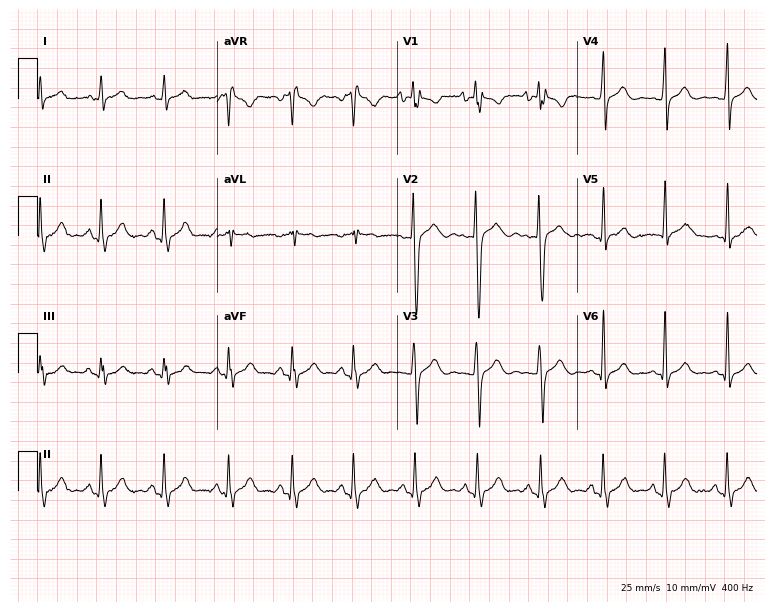
Standard 12-lead ECG recorded from a male patient, 18 years old (7.3-second recording at 400 Hz). None of these six findings is recorded: first-degree AV block, right bundle branch block, left bundle branch block, sinus bradycardia, atrial fibrillation, sinus tachycardia.